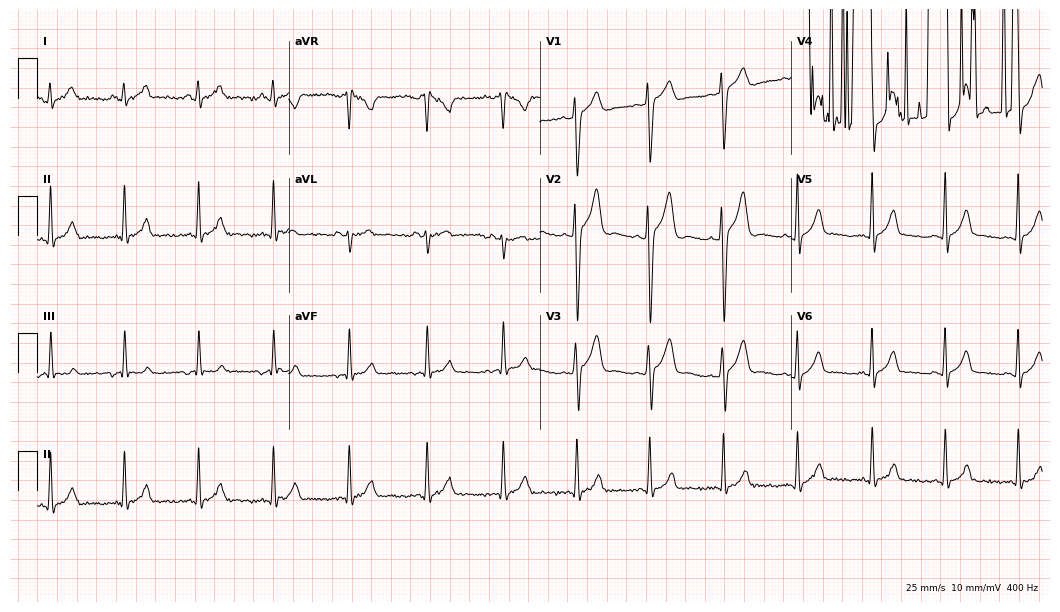
ECG — a male, 19 years old. Screened for six findings — first-degree AV block, right bundle branch block, left bundle branch block, sinus bradycardia, atrial fibrillation, sinus tachycardia — none is recorded. Only these six findings were labelled.